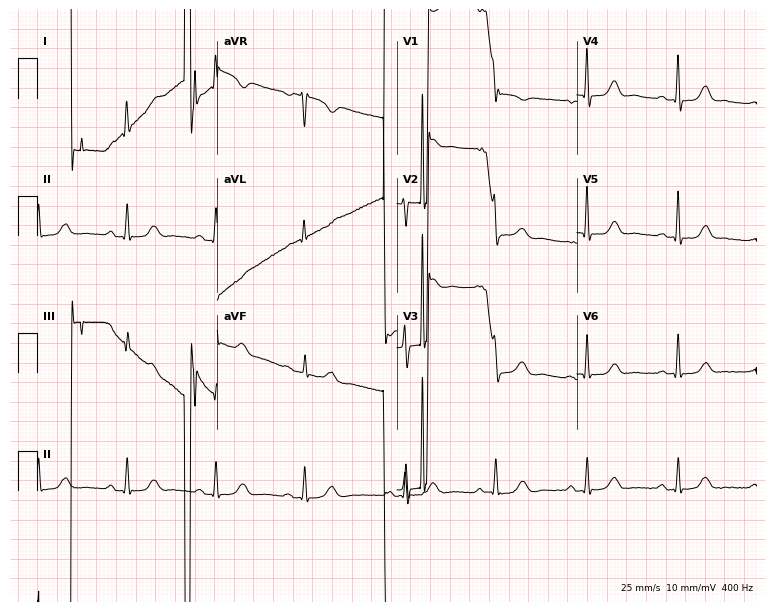
Resting 12-lead electrocardiogram. Patient: a 67-year-old female. None of these six findings is recorded: first-degree AV block, right bundle branch block, left bundle branch block, sinus bradycardia, atrial fibrillation, sinus tachycardia. Other findings, if any, are not listed.